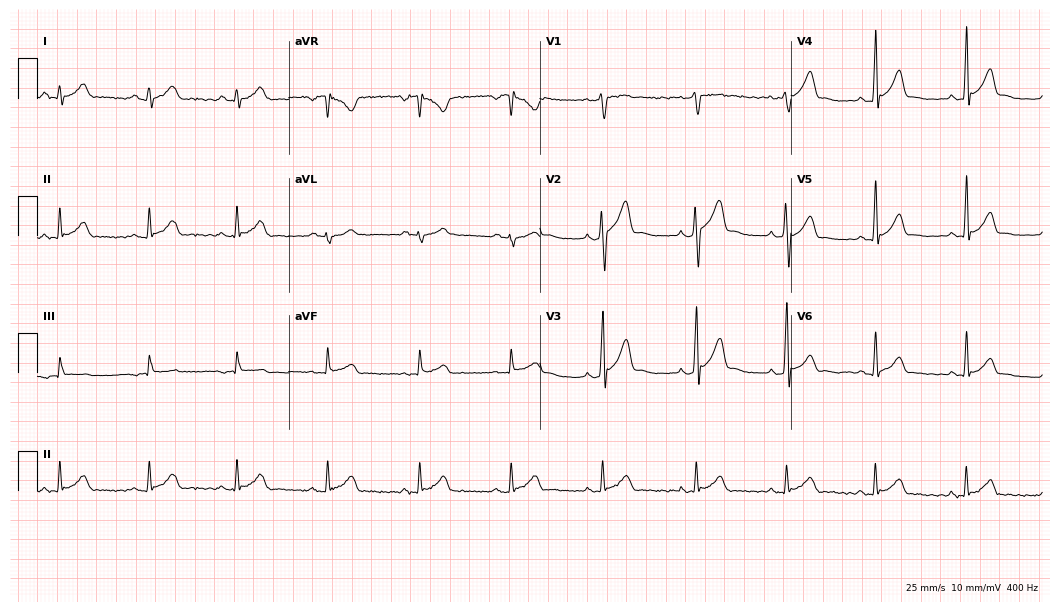
Resting 12-lead electrocardiogram. Patient: a 20-year-old man. Read as a normal ECG.